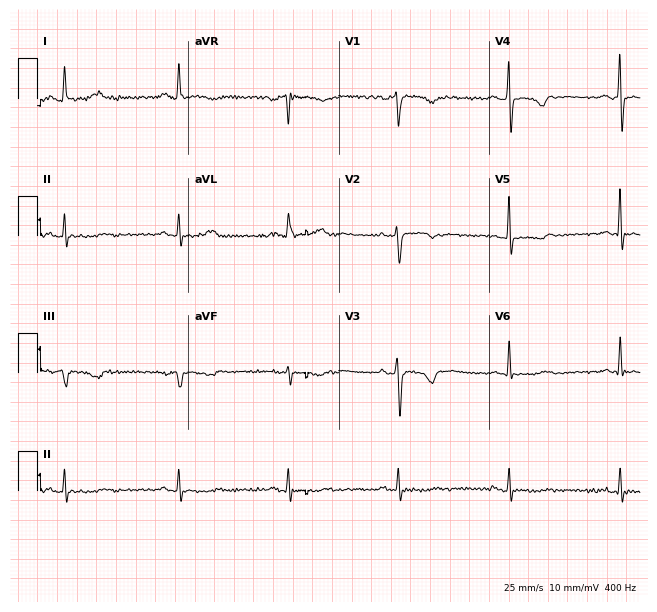
Resting 12-lead electrocardiogram. Patient: a woman, 55 years old. None of these six findings is recorded: first-degree AV block, right bundle branch block, left bundle branch block, sinus bradycardia, atrial fibrillation, sinus tachycardia.